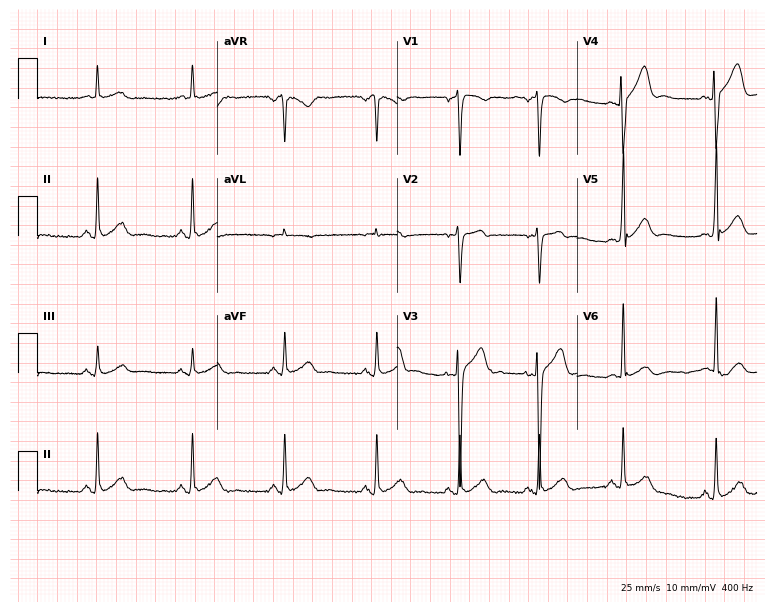
12-lead ECG from a 32-year-old male patient. Labelled as a normal ECG.